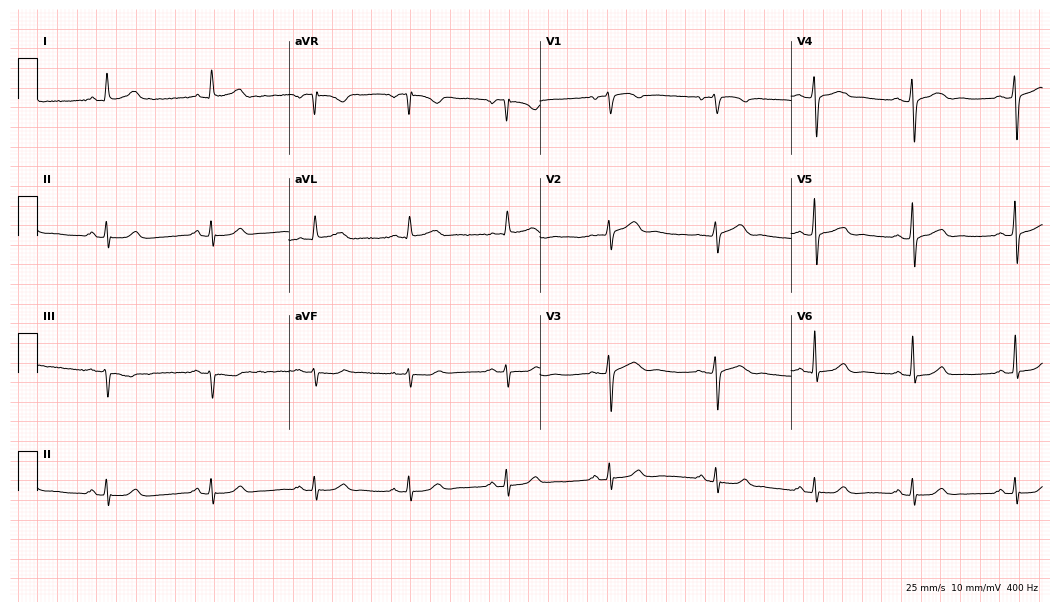
12-lead ECG from a female patient, 53 years old. Recorded interpretation: within normal limits.